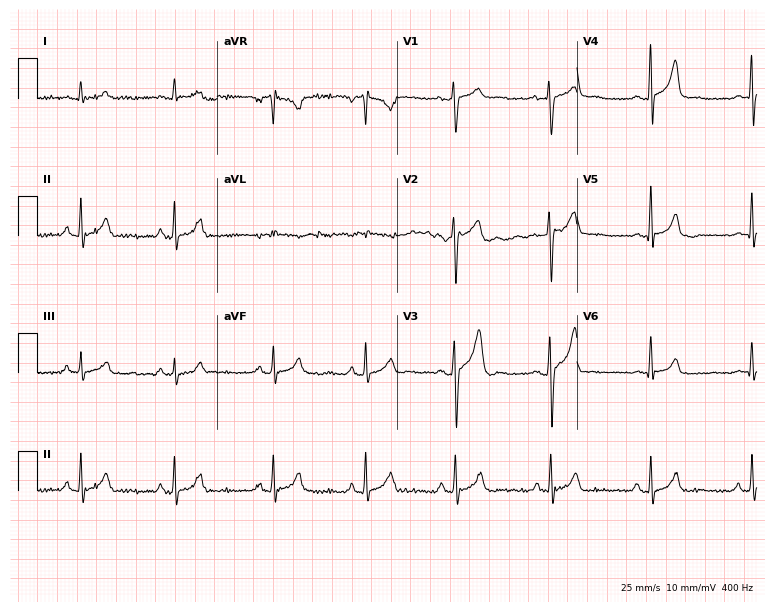
Standard 12-lead ECG recorded from a 27-year-old male patient. Read as a normal ECG.